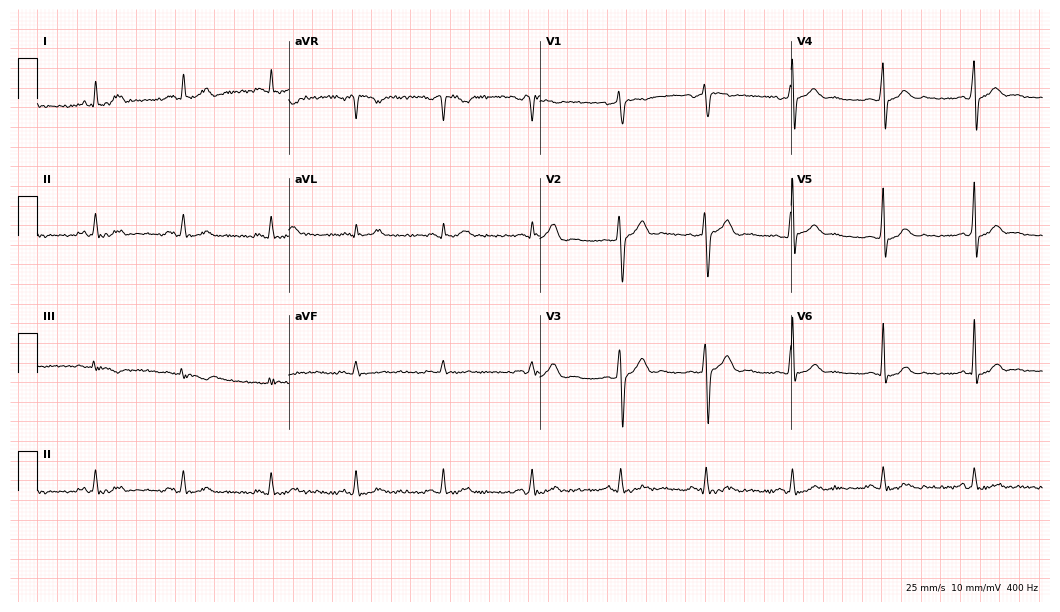
Standard 12-lead ECG recorded from a 34-year-old male (10.2-second recording at 400 Hz). None of these six findings is recorded: first-degree AV block, right bundle branch block, left bundle branch block, sinus bradycardia, atrial fibrillation, sinus tachycardia.